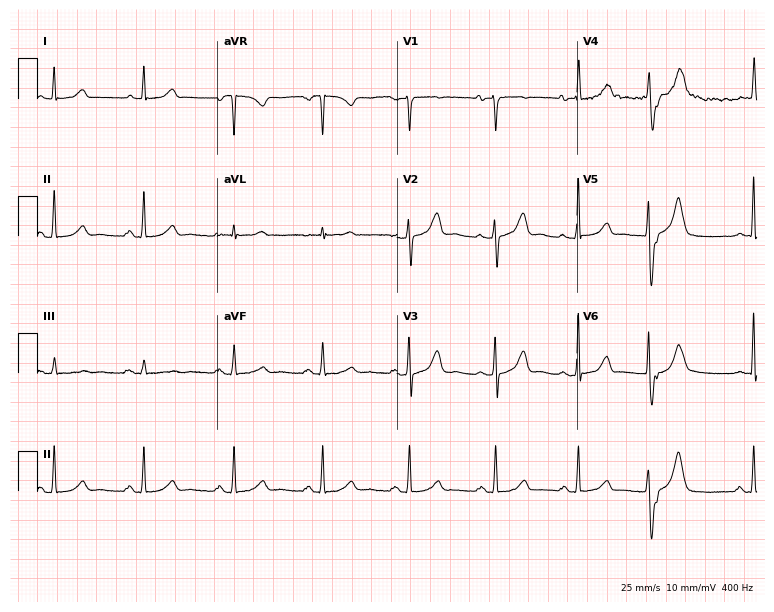
Resting 12-lead electrocardiogram. Patient: a female, 45 years old. Read as a normal ECG.